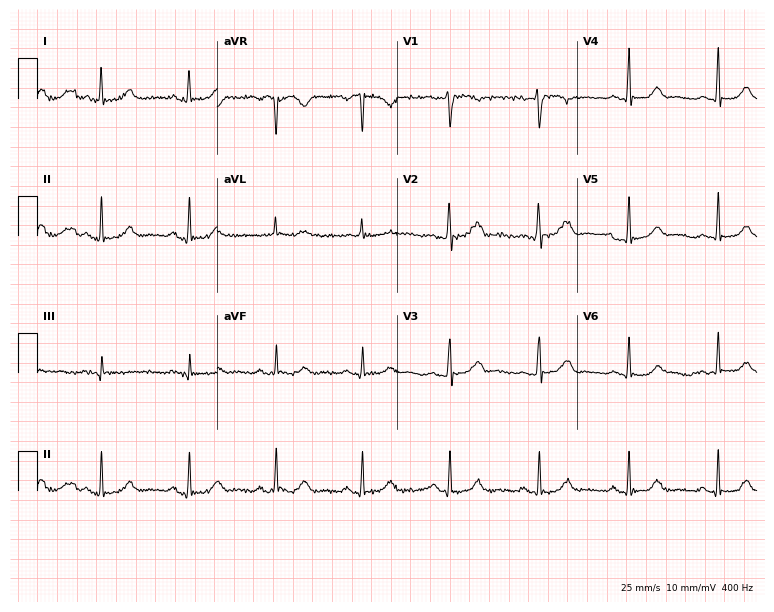
12-lead ECG from a 75-year-old woman. Labelled as a normal ECG.